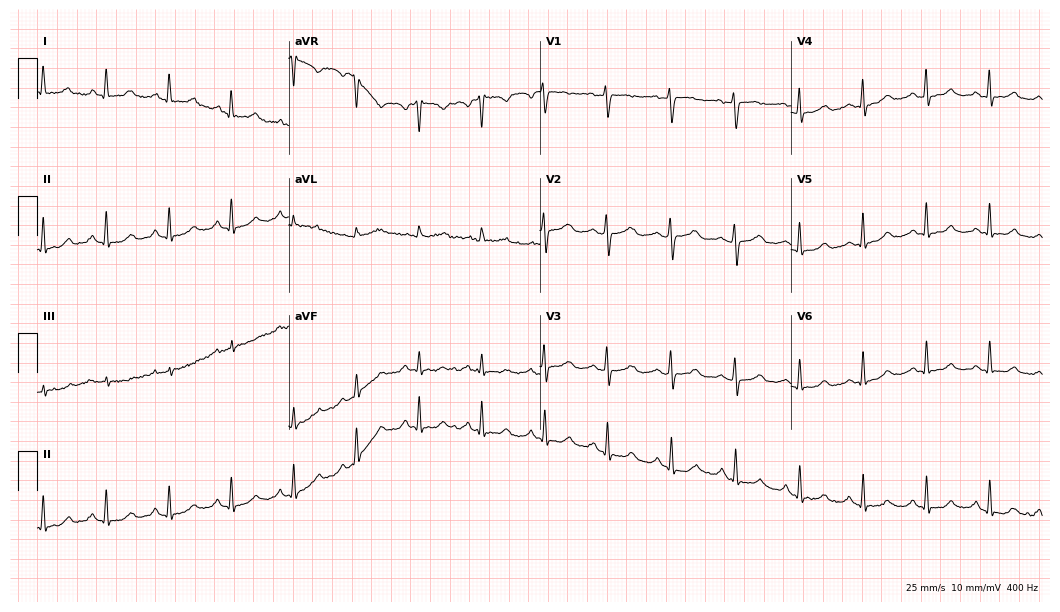
Standard 12-lead ECG recorded from a 70-year-old female. None of these six findings is recorded: first-degree AV block, right bundle branch block (RBBB), left bundle branch block (LBBB), sinus bradycardia, atrial fibrillation (AF), sinus tachycardia.